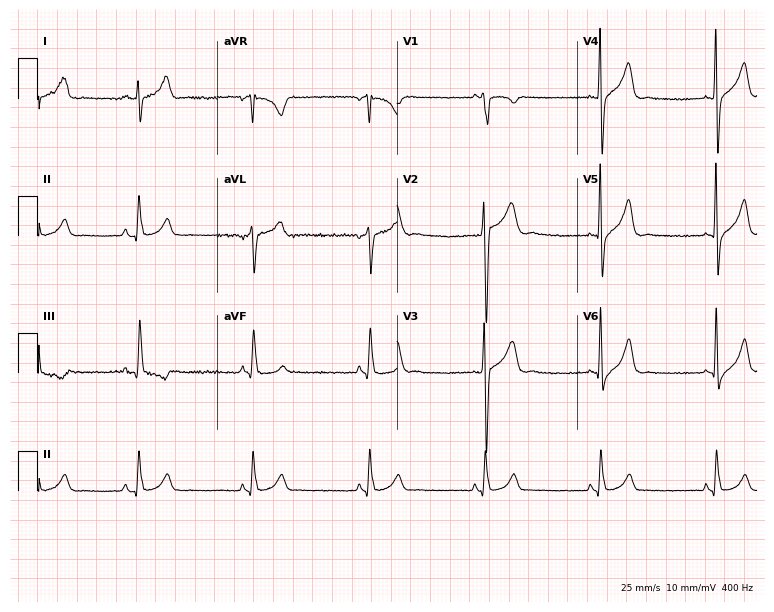
12-lead ECG (7.3-second recording at 400 Hz) from a 31-year-old man. Labelled as a normal ECG.